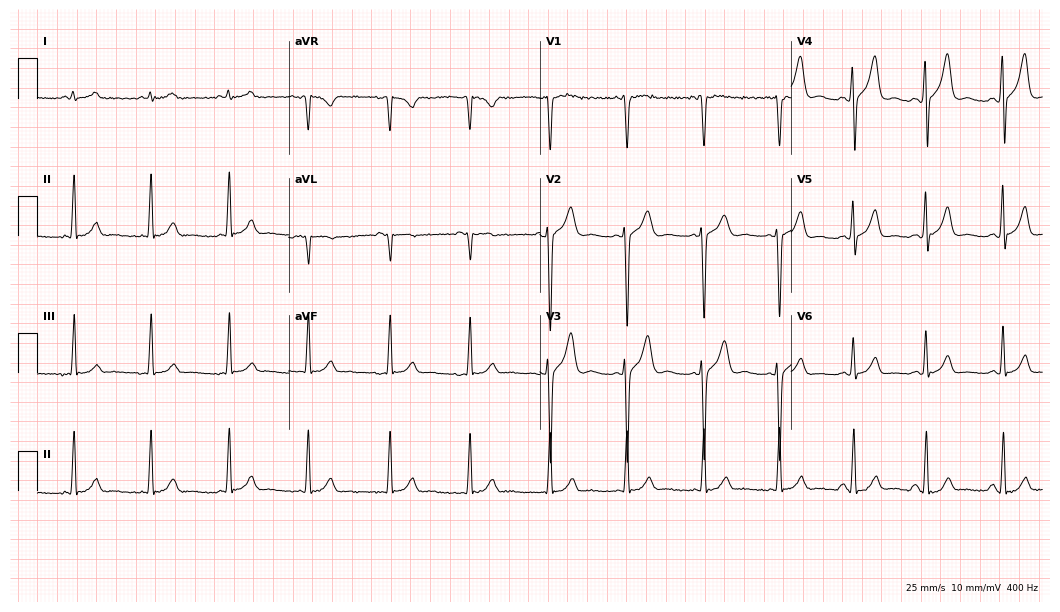
Resting 12-lead electrocardiogram. Patient: a 29-year-old male. Read as a normal ECG.